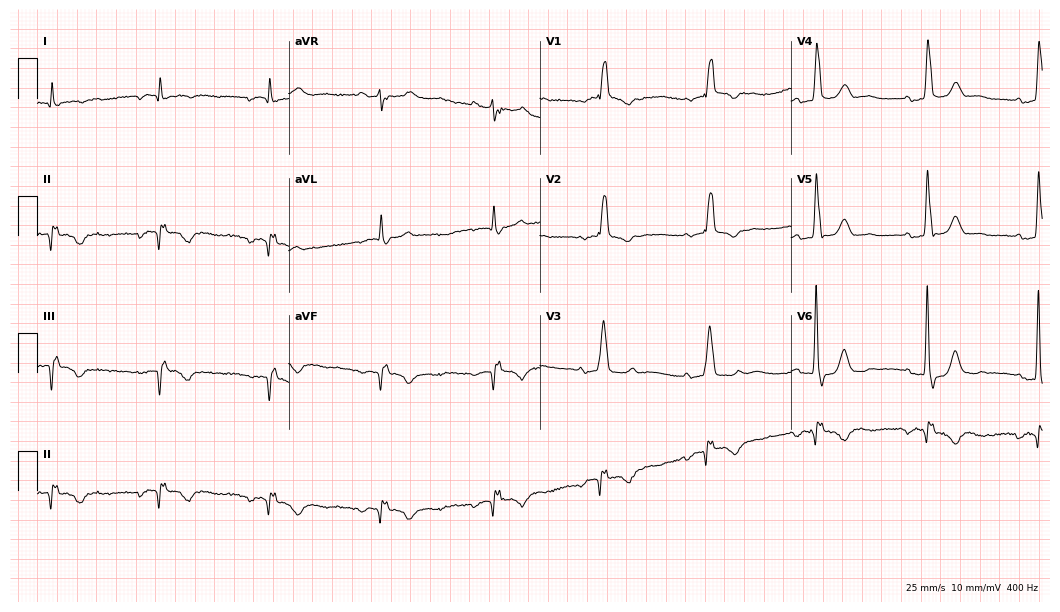
Electrocardiogram (10.2-second recording at 400 Hz), an 82-year-old male. Of the six screened findings (first-degree AV block, right bundle branch block, left bundle branch block, sinus bradycardia, atrial fibrillation, sinus tachycardia), none is recorded. Other findings, if any, are not listed.